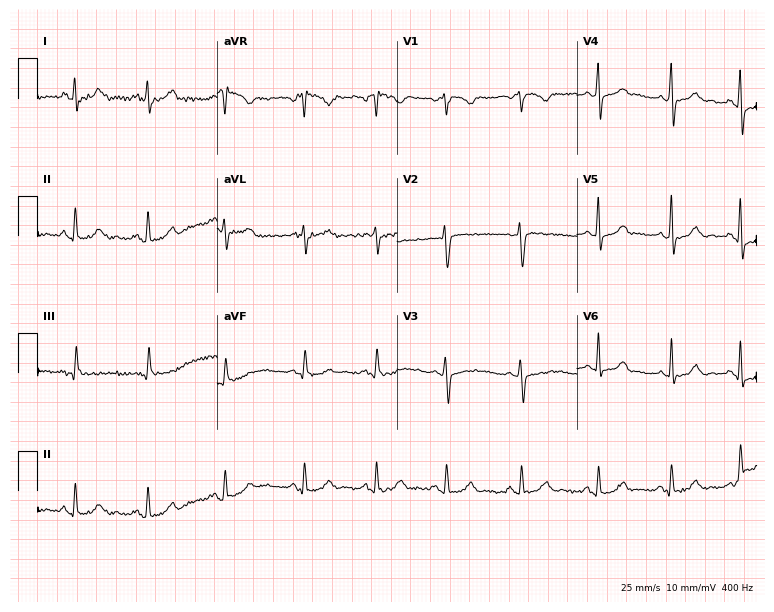
12-lead ECG (7.3-second recording at 400 Hz) from a 28-year-old female patient. Screened for six findings — first-degree AV block, right bundle branch block, left bundle branch block, sinus bradycardia, atrial fibrillation, sinus tachycardia — none is recorded. Findings outside these six are not listed.